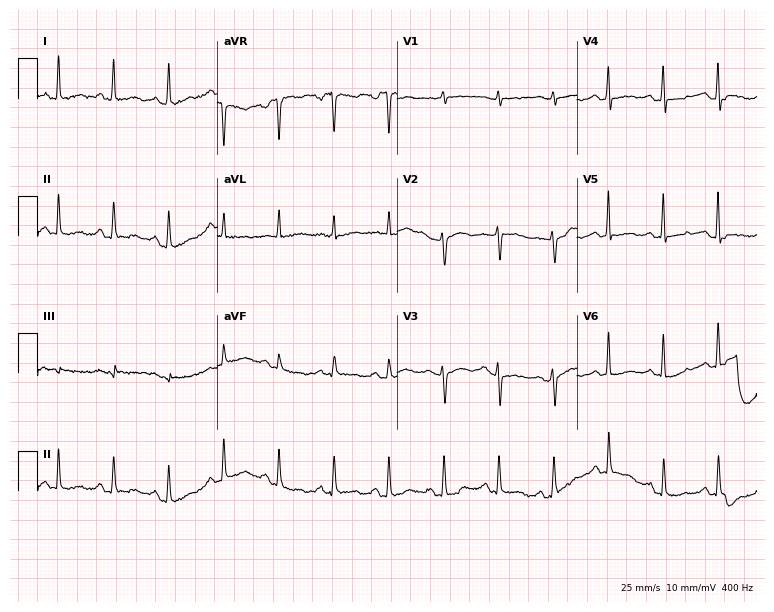
ECG — a woman, 41 years old. Findings include sinus tachycardia (a sinus rate of 100 beats per minute or more).